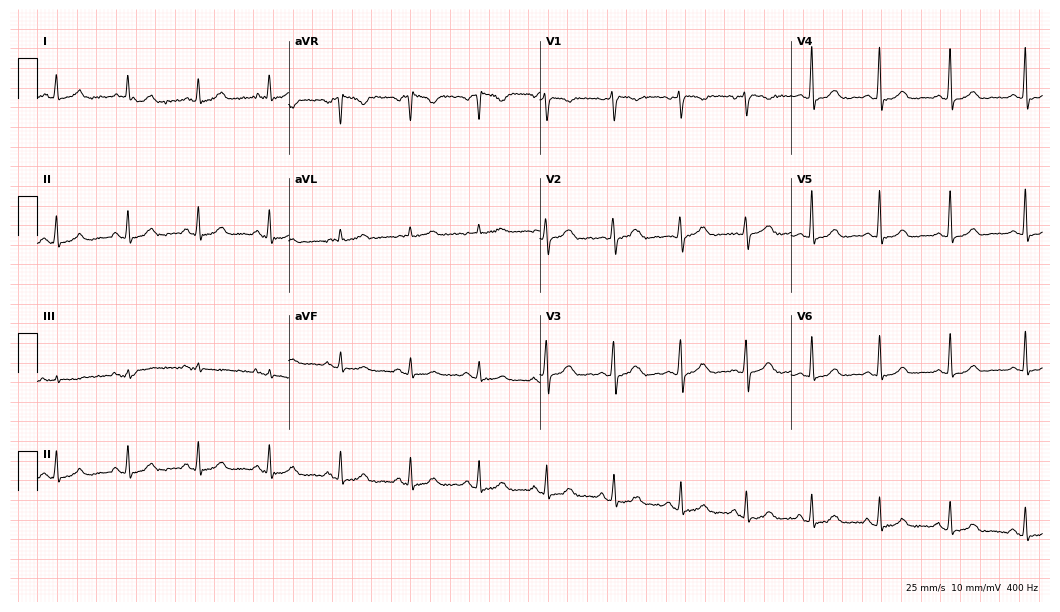
12-lead ECG from a 50-year-old female. Recorded interpretation: within normal limits.